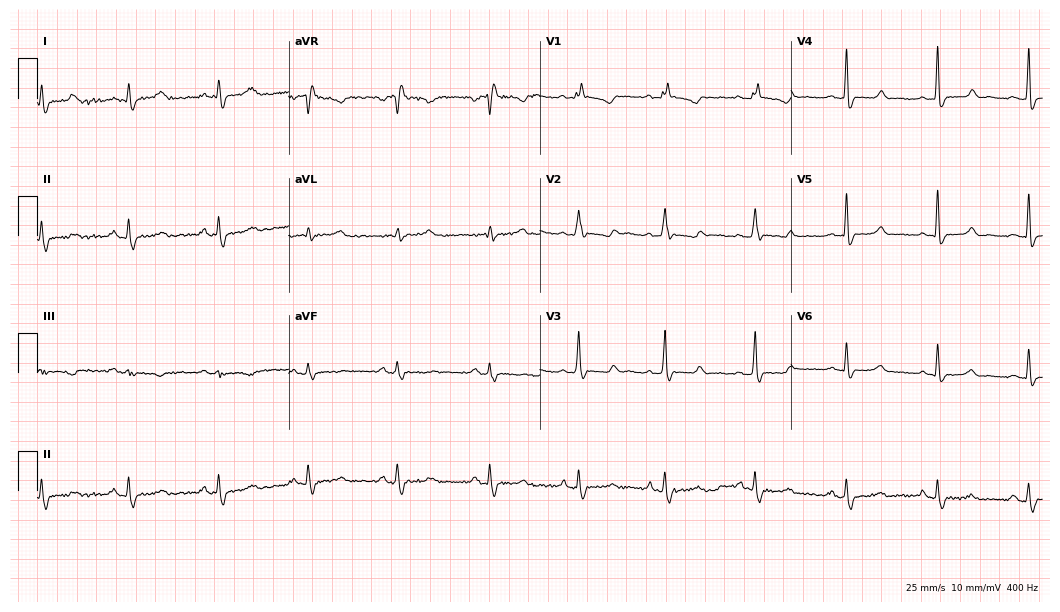
Resting 12-lead electrocardiogram (10.2-second recording at 400 Hz). Patient: a female, 57 years old. The tracing shows right bundle branch block.